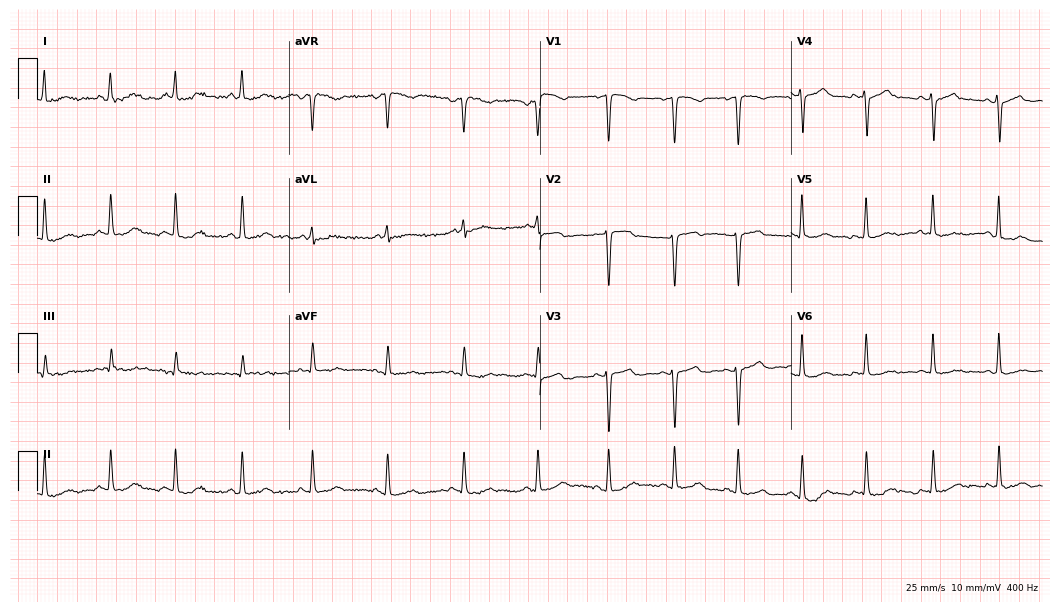
12-lead ECG from a 45-year-old female. No first-degree AV block, right bundle branch block, left bundle branch block, sinus bradycardia, atrial fibrillation or sinus tachycardia recorded for this tracing. Findings outside these six are not listed.